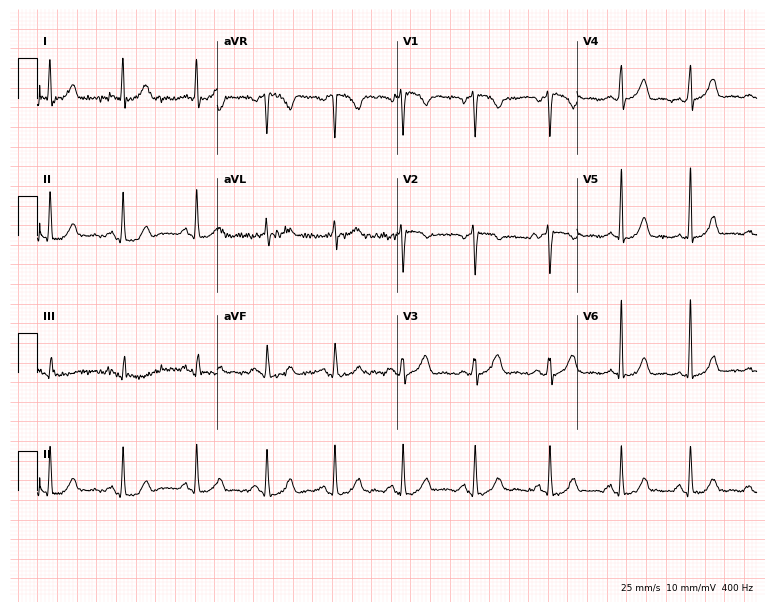
Electrocardiogram, a woman, 28 years old. Of the six screened findings (first-degree AV block, right bundle branch block (RBBB), left bundle branch block (LBBB), sinus bradycardia, atrial fibrillation (AF), sinus tachycardia), none is recorded.